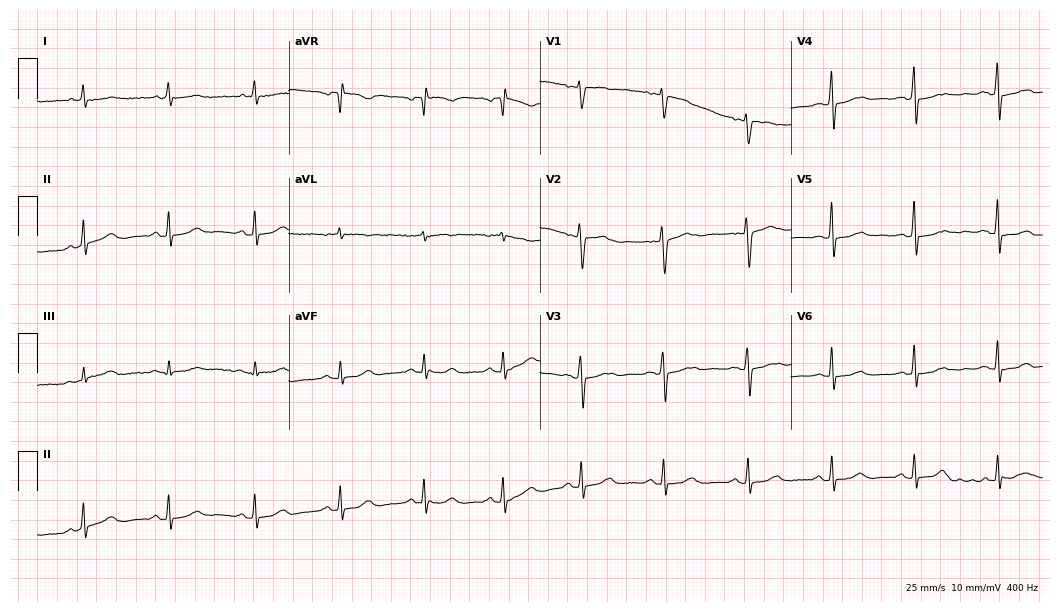
Electrocardiogram, a 46-year-old female. Of the six screened findings (first-degree AV block, right bundle branch block, left bundle branch block, sinus bradycardia, atrial fibrillation, sinus tachycardia), none is recorded.